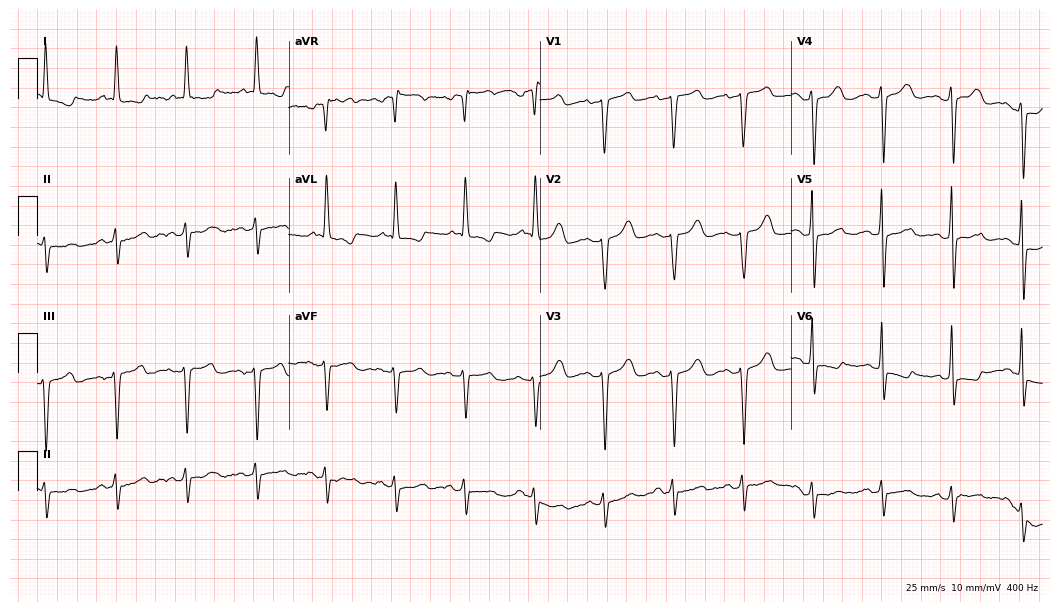
Electrocardiogram, a female patient, 69 years old. Of the six screened findings (first-degree AV block, right bundle branch block (RBBB), left bundle branch block (LBBB), sinus bradycardia, atrial fibrillation (AF), sinus tachycardia), none is recorded. Only these six findings were labelled.